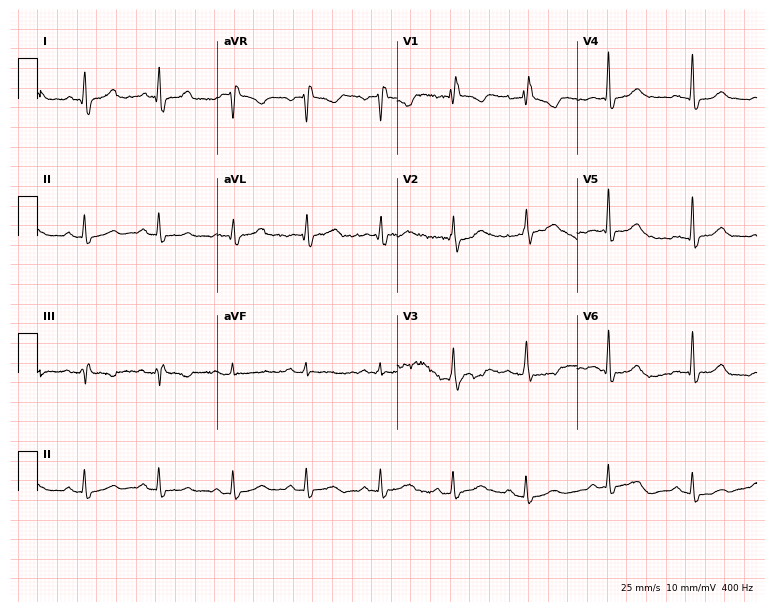
Electrocardiogram, a 43-year-old female patient. Of the six screened findings (first-degree AV block, right bundle branch block (RBBB), left bundle branch block (LBBB), sinus bradycardia, atrial fibrillation (AF), sinus tachycardia), none is recorded.